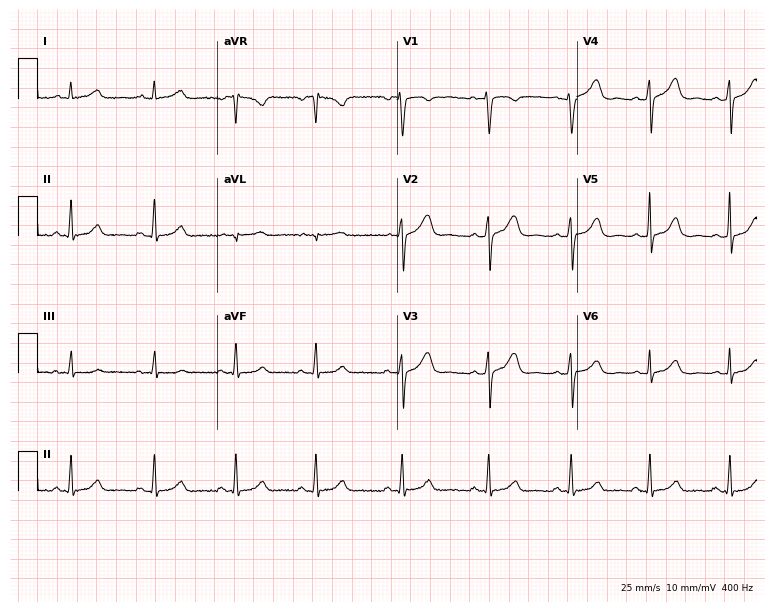
Standard 12-lead ECG recorded from a 20-year-old female (7.3-second recording at 400 Hz). Read as a normal ECG.